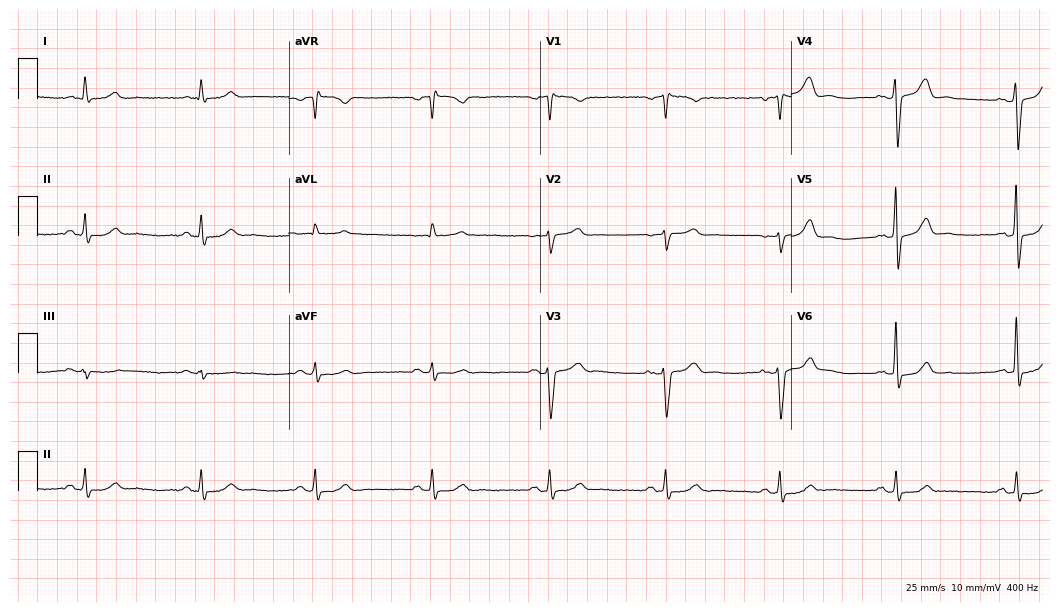
ECG — a man, 69 years old. Labelled as a normal ECG.